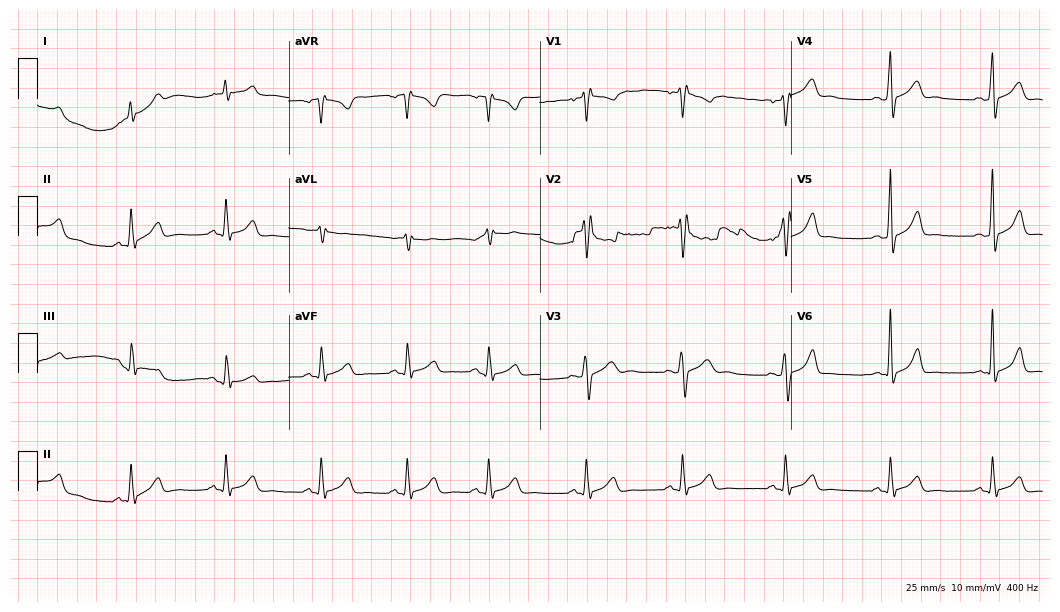
Resting 12-lead electrocardiogram. Patient: a male, 23 years old. None of these six findings is recorded: first-degree AV block, right bundle branch block, left bundle branch block, sinus bradycardia, atrial fibrillation, sinus tachycardia. Other findings, if any, are not listed.